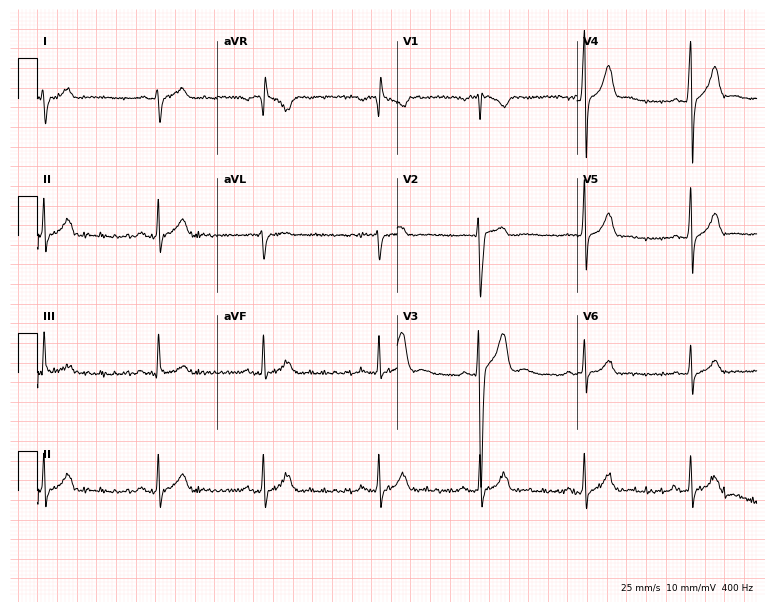
Electrocardiogram (7.3-second recording at 400 Hz), a 21-year-old male. Of the six screened findings (first-degree AV block, right bundle branch block, left bundle branch block, sinus bradycardia, atrial fibrillation, sinus tachycardia), none is recorded.